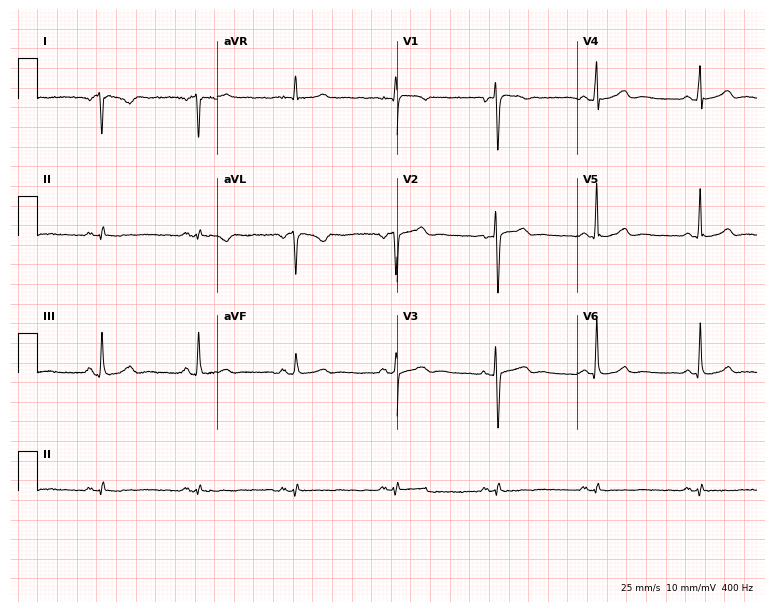
12-lead ECG from a 53-year-old female. Screened for six findings — first-degree AV block, right bundle branch block (RBBB), left bundle branch block (LBBB), sinus bradycardia, atrial fibrillation (AF), sinus tachycardia — none is recorded. Findings outside these six are not listed.